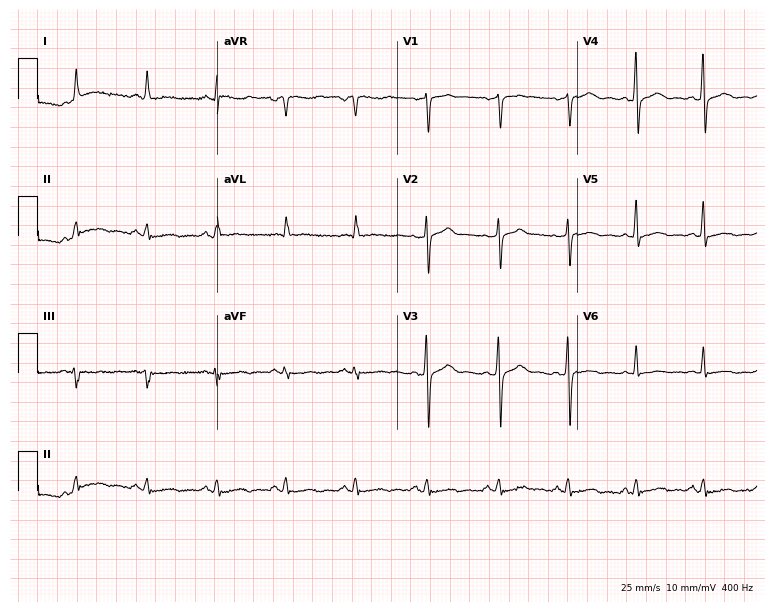
ECG (7.3-second recording at 400 Hz) — a man, 49 years old. Labelled as a normal ECG.